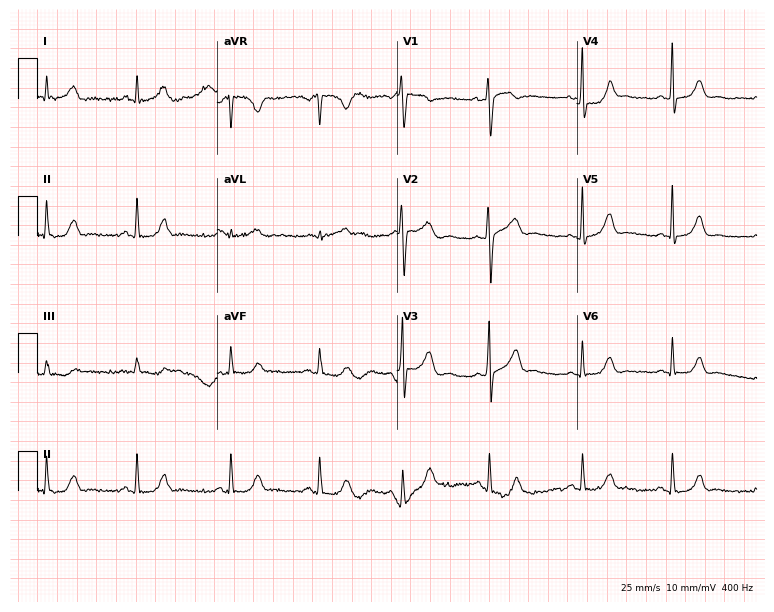
Resting 12-lead electrocardiogram (7.3-second recording at 400 Hz). Patient: a female, 63 years old. None of these six findings is recorded: first-degree AV block, right bundle branch block, left bundle branch block, sinus bradycardia, atrial fibrillation, sinus tachycardia. Only these six findings were labelled.